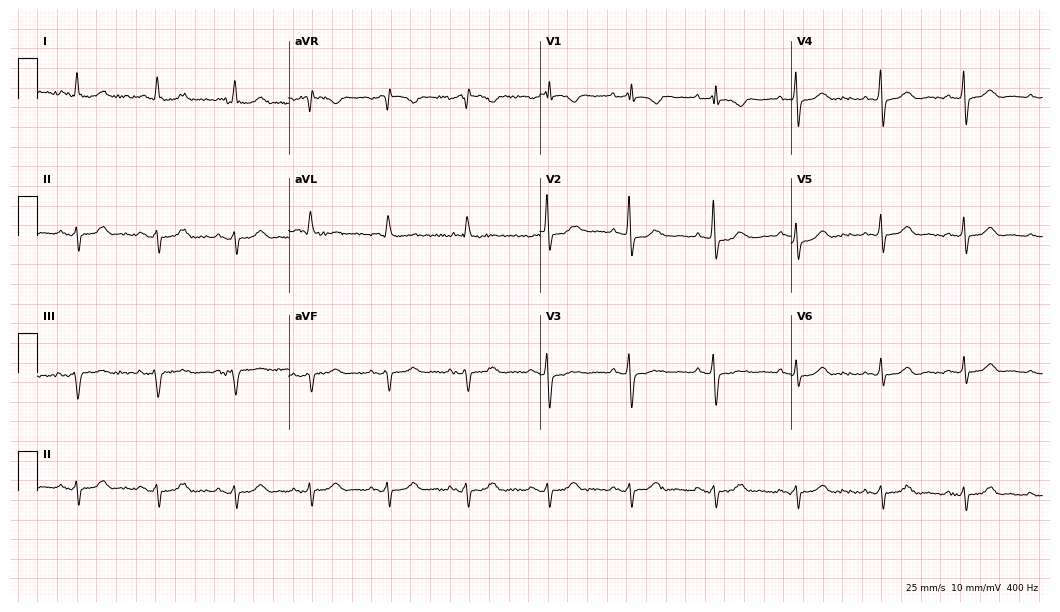
Standard 12-lead ECG recorded from a 69-year-old female. None of these six findings is recorded: first-degree AV block, right bundle branch block, left bundle branch block, sinus bradycardia, atrial fibrillation, sinus tachycardia.